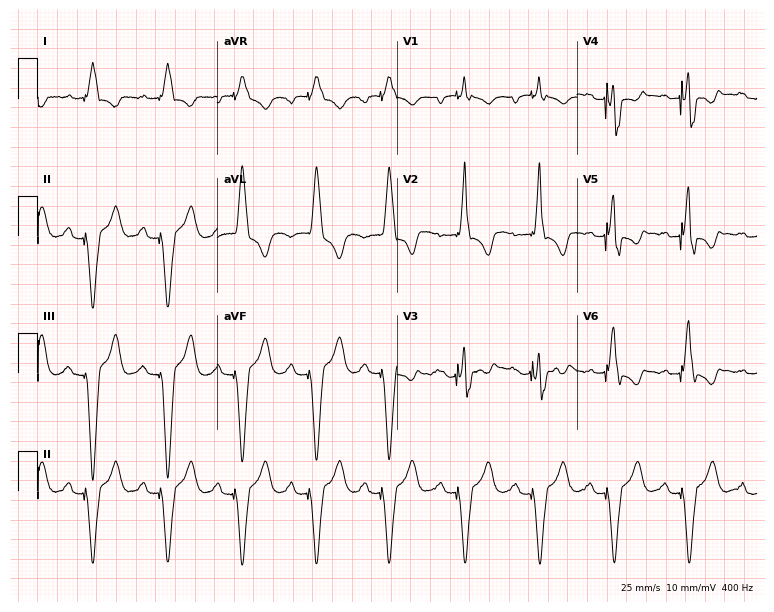
Electrocardiogram (7.3-second recording at 400 Hz), a female, 47 years old. Of the six screened findings (first-degree AV block, right bundle branch block, left bundle branch block, sinus bradycardia, atrial fibrillation, sinus tachycardia), none is recorded. Only these six findings were labelled.